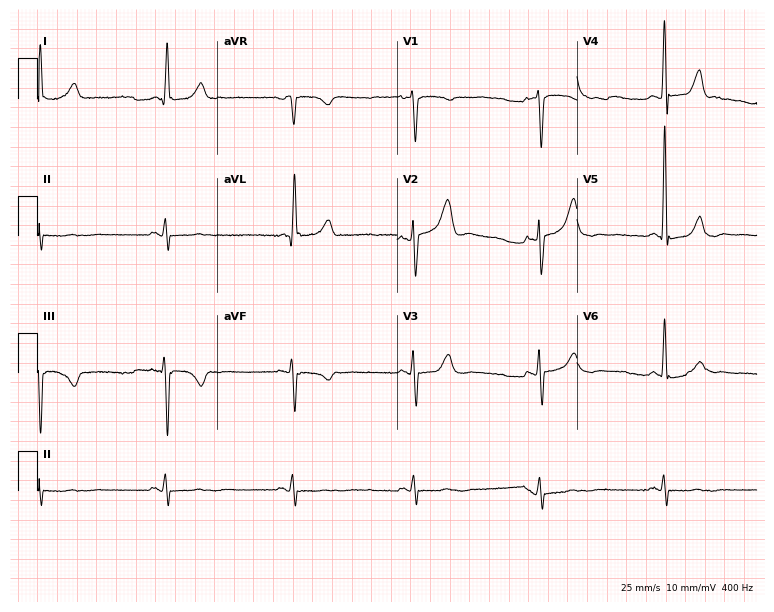
Resting 12-lead electrocardiogram. Patient: a male, 69 years old. The tracing shows sinus bradycardia (a sinus rate of 50 beats per minute or less).